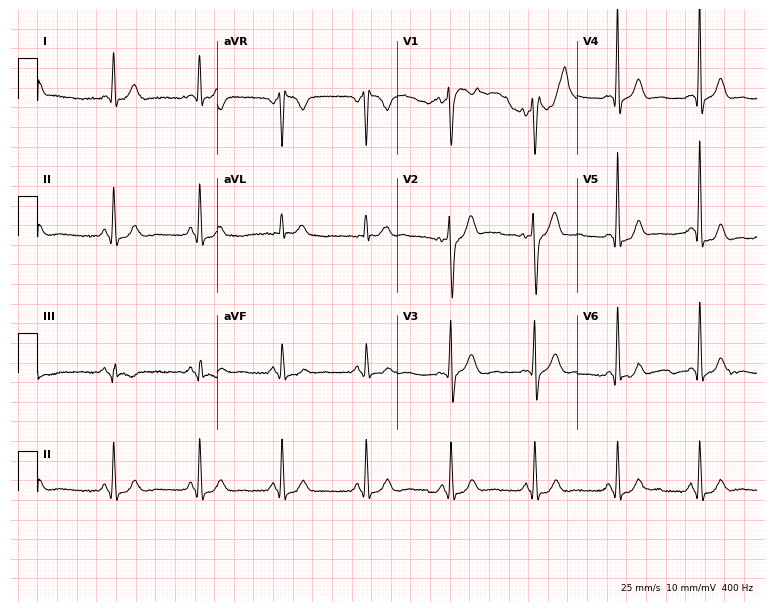
12-lead ECG from a male, 43 years old. Recorded interpretation: within normal limits.